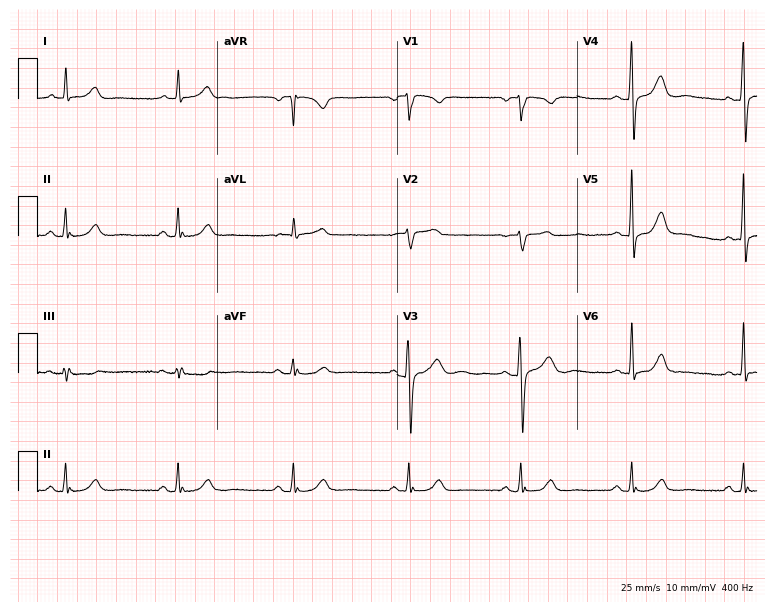
ECG — a female, 77 years old. Screened for six findings — first-degree AV block, right bundle branch block, left bundle branch block, sinus bradycardia, atrial fibrillation, sinus tachycardia — none is recorded. Only these six findings were labelled.